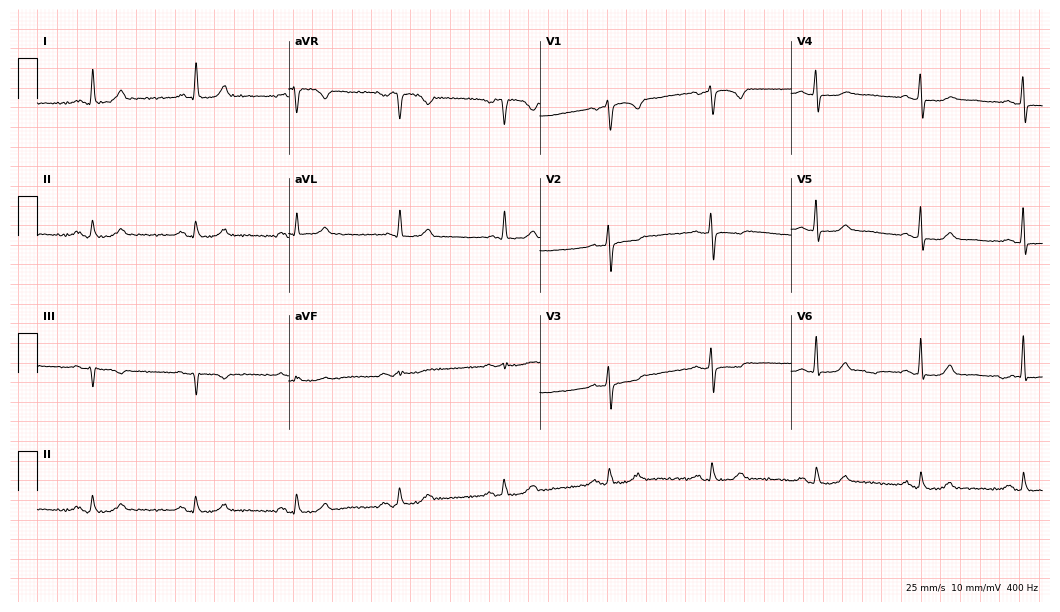
12-lead ECG from a female patient, 70 years old. Labelled as a normal ECG.